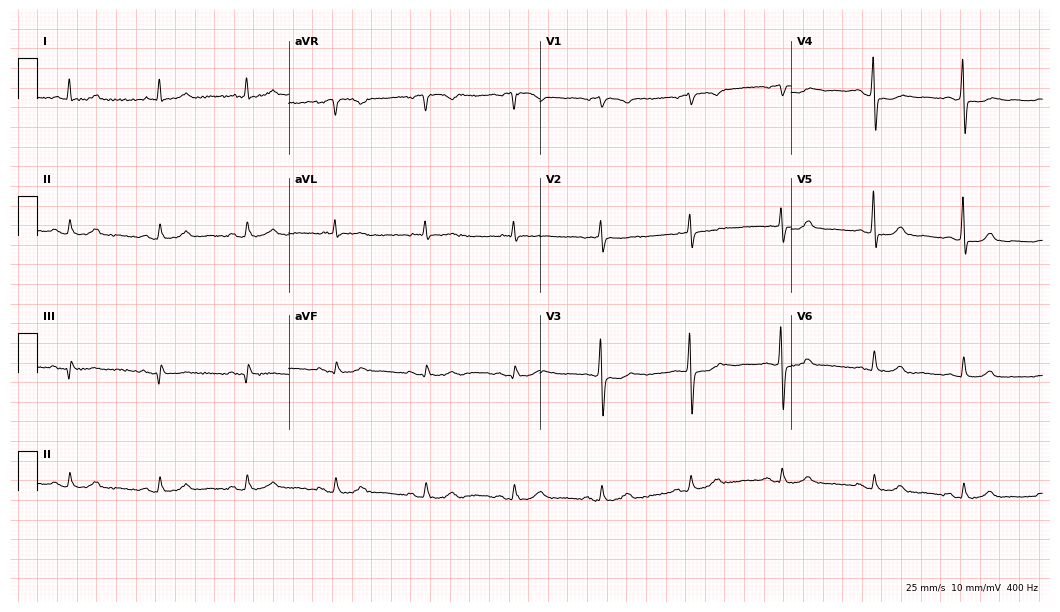
Standard 12-lead ECG recorded from a 69-year-old female patient. None of these six findings is recorded: first-degree AV block, right bundle branch block (RBBB), left bundle branch block (LBBB), sinus bradycardia, atrial fibrillation (AF), sinus tachycardia. Only these six findings were labelled.